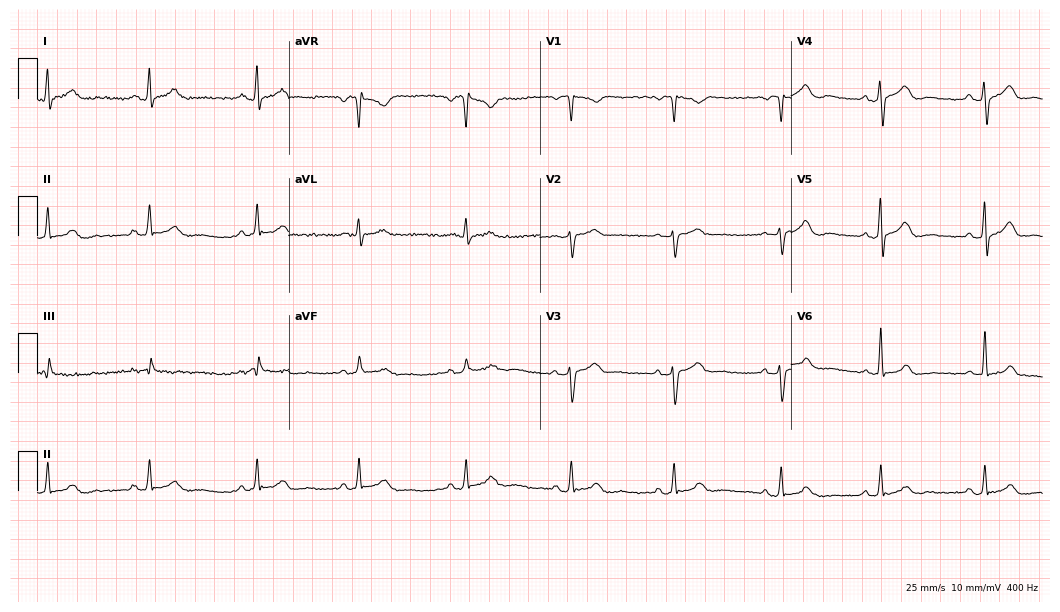
Resting 12-lead electrocardiogram. Patient: a female, 37 years old. Read as a normal ECG.